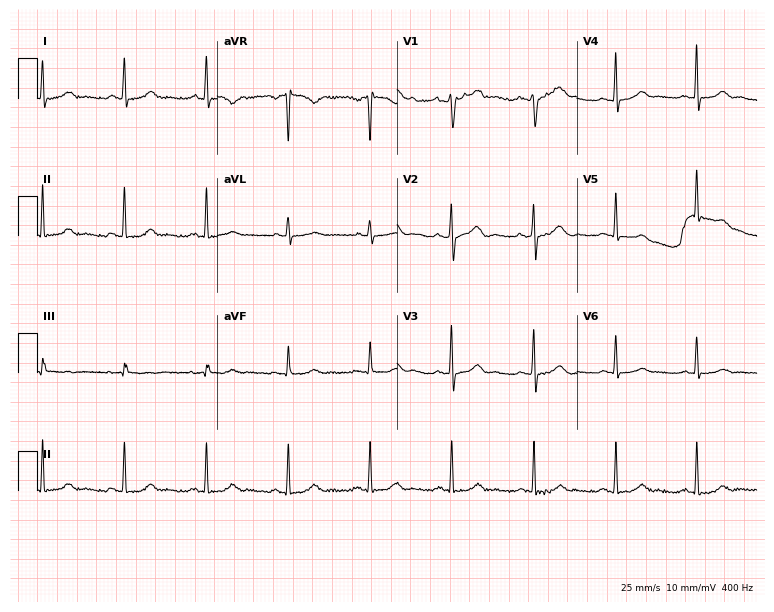
ECG — a 51-year-old woman. Screened for six findings — first-degree AV block, right bundle branch block (RBBB), left bundle branch block (LBBB), sinus bradycardia, atrial fibrillation (AF), sinus tachycardia — none is recorded. Other findings, if any, are not listed.